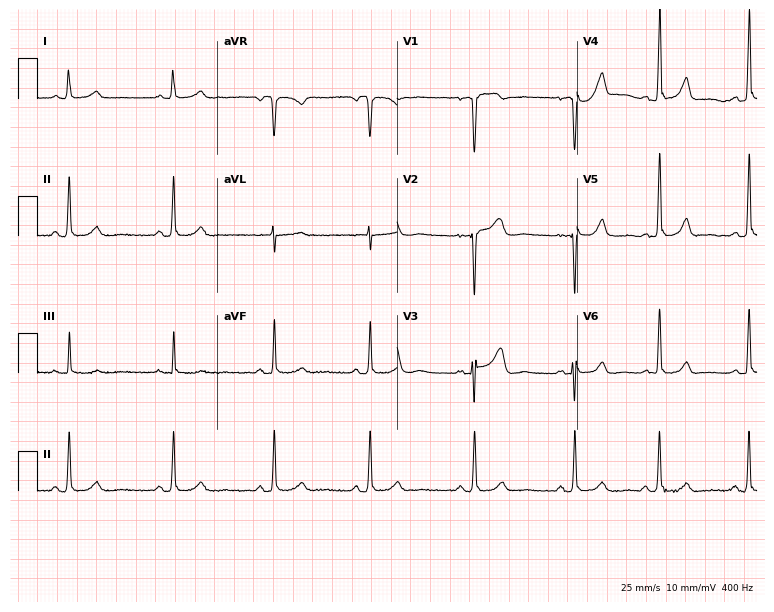
Standard 12-lead ECG recorded from a 39-year-old woman (7.3-second recording at 400 Hz). Read as a normal ECG.